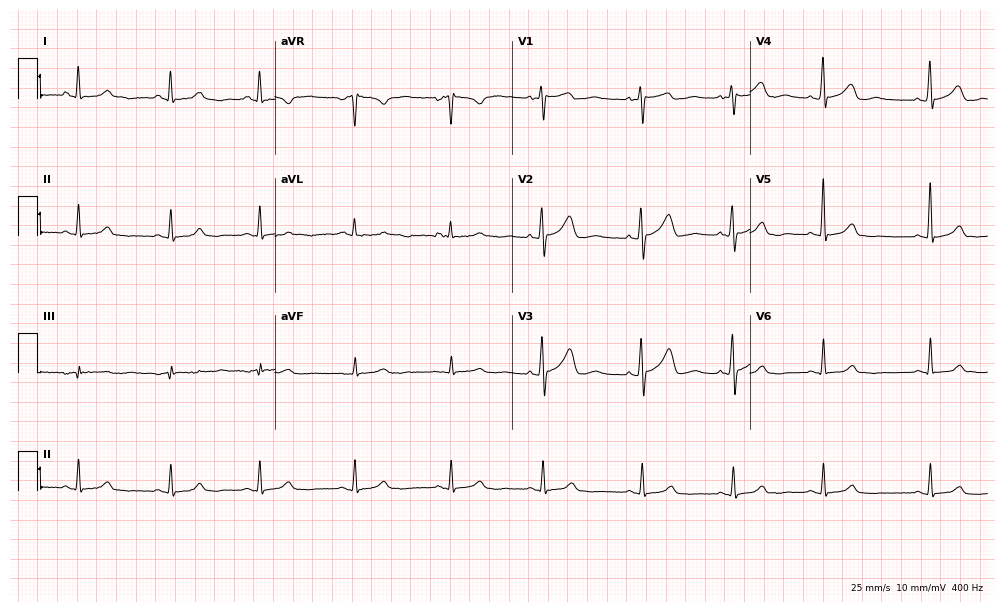
Electrocardiogram (9.7-second recording at 400 Hz), a female patient, 28 years old. Overall reading on record: normal ECG.